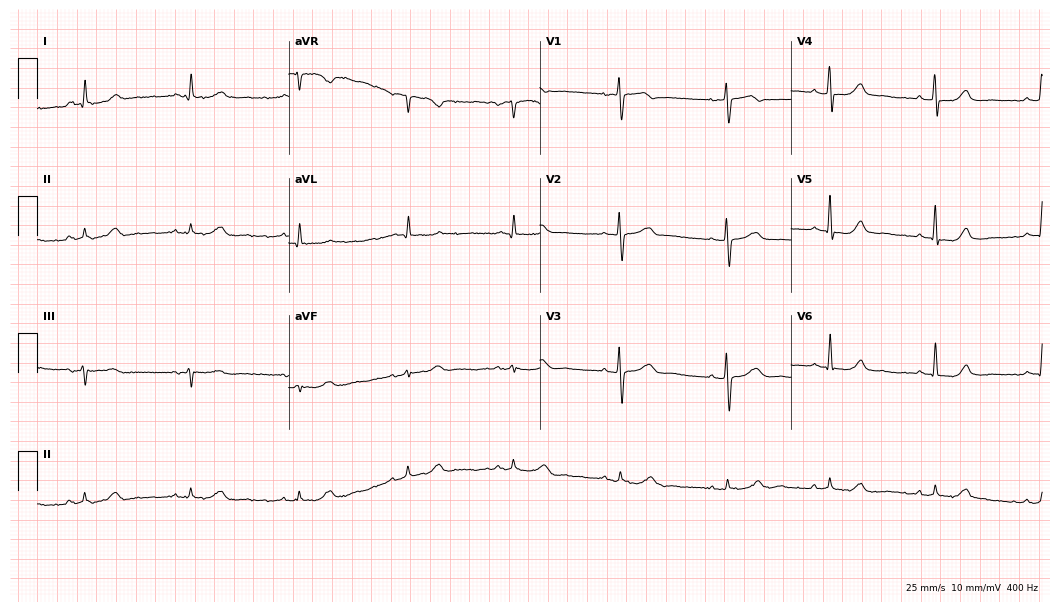
Electrocardiogram, a 70-year-old female patient. Of the six screened findings (first-degree AV block, right bundle branch block, left bundle branch block, sinus bradycardia, atrial fibrillation, sinus tachycardia), none is recorded. Other findings, if any, are not listed.